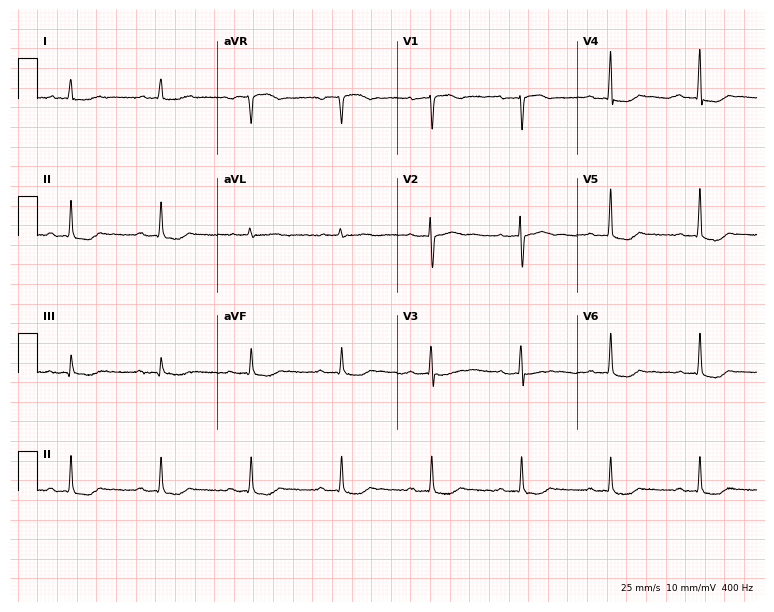
Standard 12-lead ECG recorded from a female patient, 83 years old (7.3-second recording at 400 Hz). The tracing shows first-degree AV block.